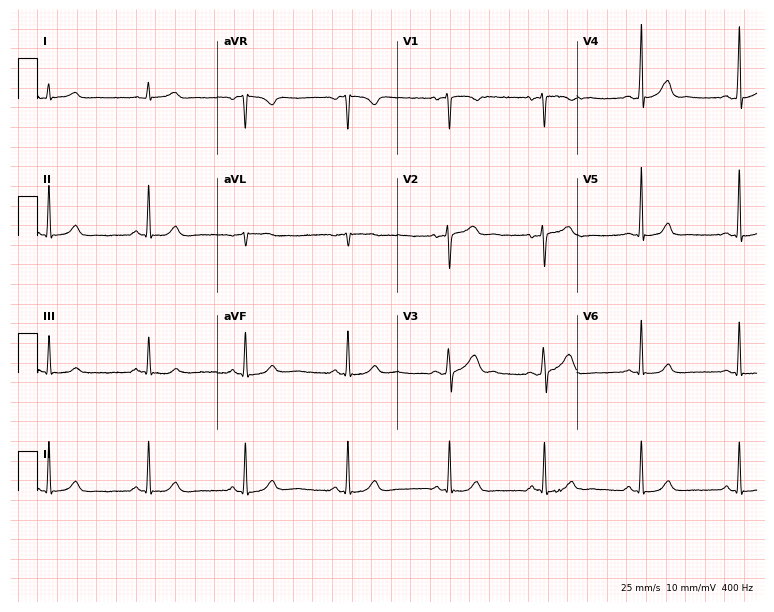
Electrocardiogram (7.3-second recording at 400 Hz), a female, 26 years old. Overall reading on record: normal ECG.